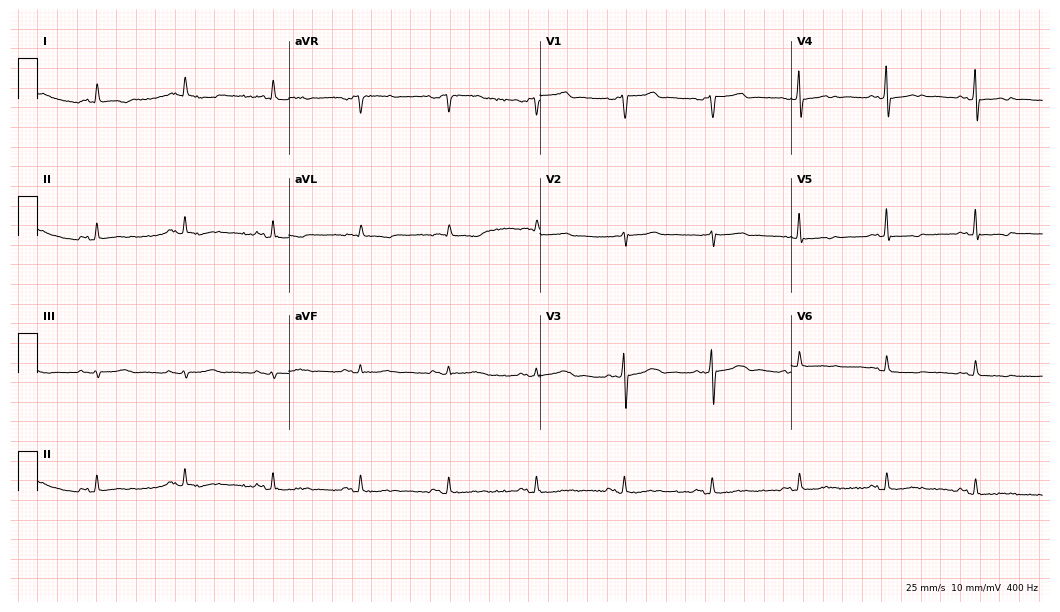
Electrocardiogram, a 78-year-old female patient. Of the six screened findings (first-degree AV block, right bundle branch block (RBBB), left bundle branch block (LBBB), sinus bradycardia, atrial fibrillation (AF), sinus tachycardia), none is recorded.